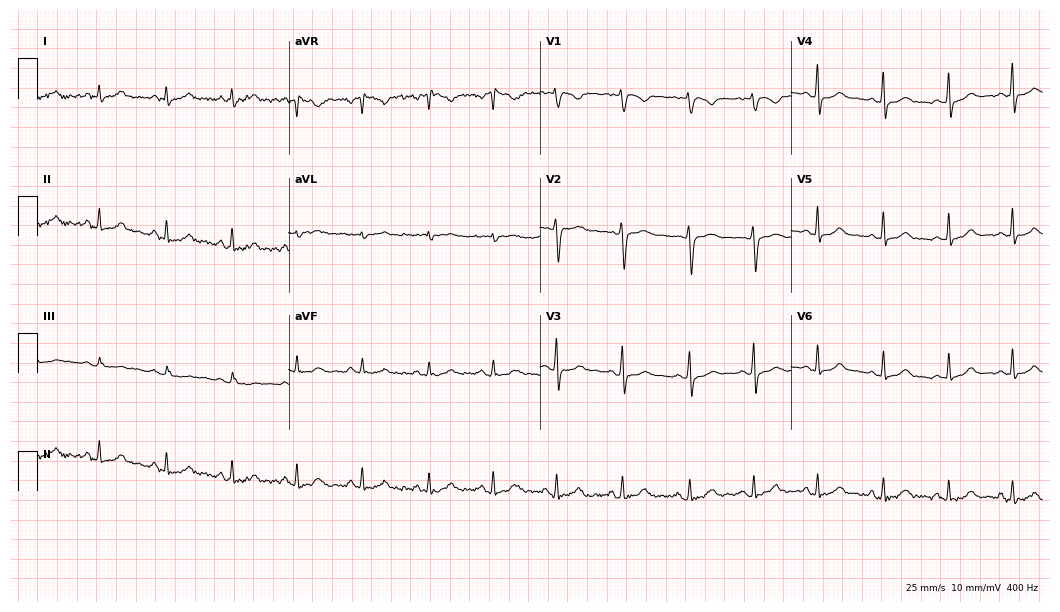
Resting 12-lead electrocardiogram (10.2-second recording at 400 Hz). Patient: a 23-year-old woman. Read as a normal ECG.